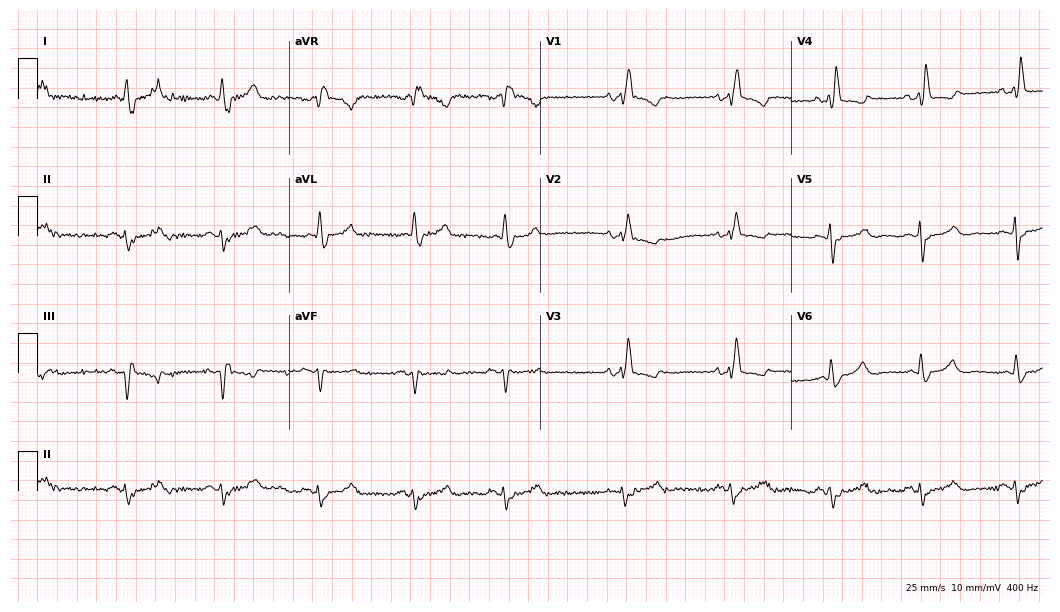
12-lead ECG from an 81-year-old woman. Screened for six findings — first-degree AV block, right bundle branch block (RBBB), left bundle branch block (LBBB), sinus bradycardia, atrial fibrillation (AF), sinus tachycardia — none is recorded. Other findings, if any, are not listed.